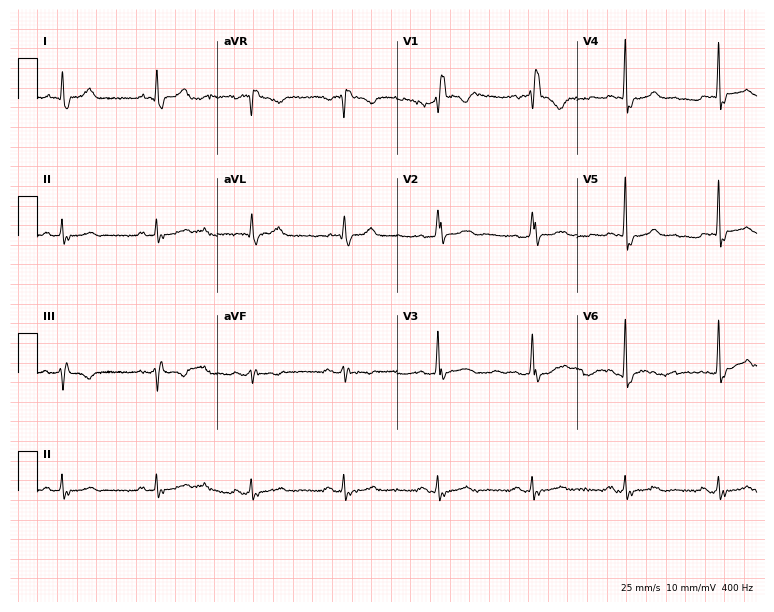
12-lead ECG from an 82-year-old man. Shows right bundle branch block.